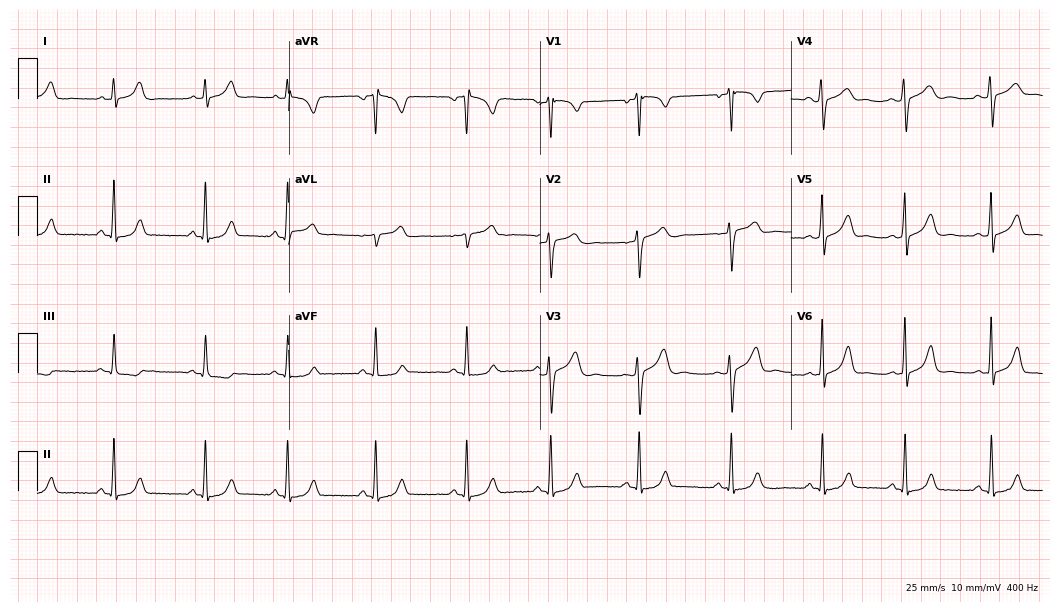
12-lead ECG from a female, 25 years old. Recorded interpretation: within normal limits.